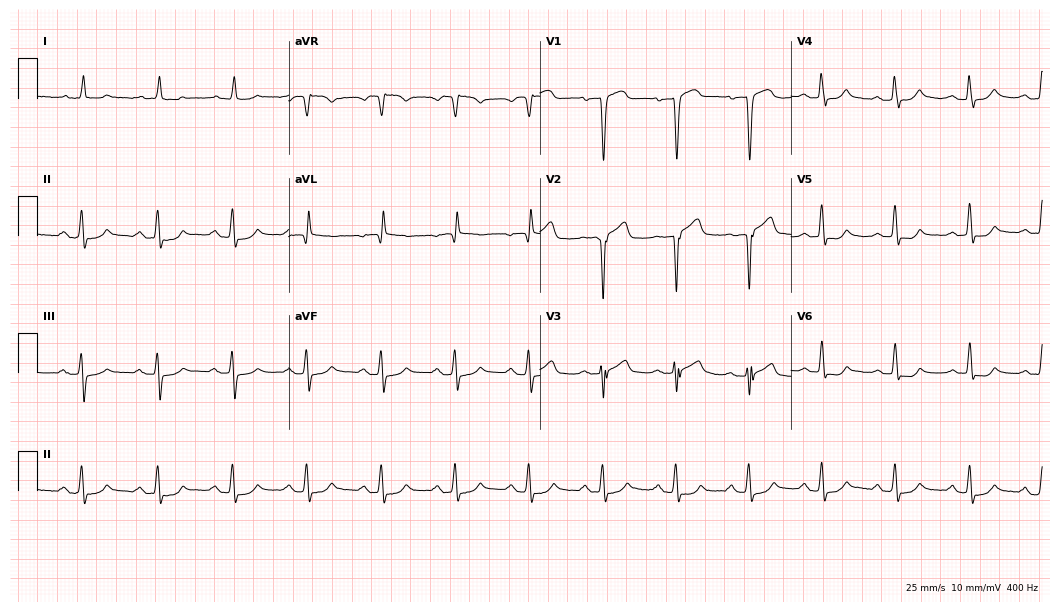
12-lead ECG from an 82-year-old man (10.2-second recording at 400 Hz). No first-degree AV block, right bundle branch block, left bundle branch block, sinus bradycardia, atrial fibrillation or sinus tachycardia recorded for this tracing. Only these six findings were labelled.